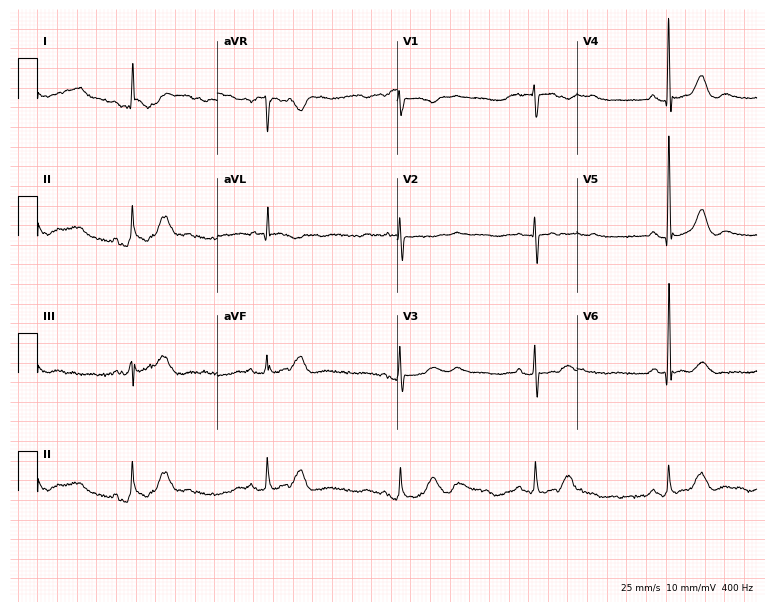
Electrocardiogram (7.3-second recording at 400 Hz), a female patient, 81 years old. Interpretation includes sinus bradycardia (a sinus rate of 50 beats per minute or less).